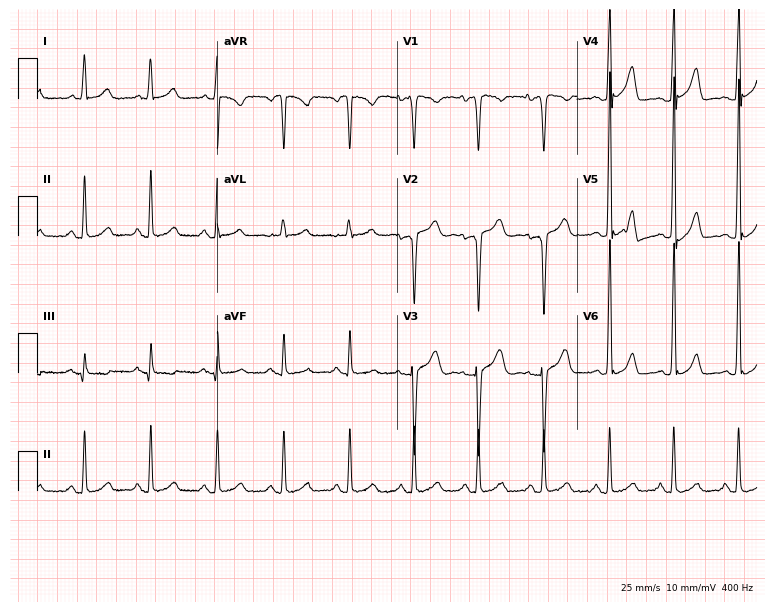
12-lead ECG from a 47-year-old woman. No first-degree AV block, right bundle branch block (RBBB), left bundle branch block (LBBB), sinus bradycardia, atrial fibrillation (AF) or sinus tachycardia recorded for this tracing.